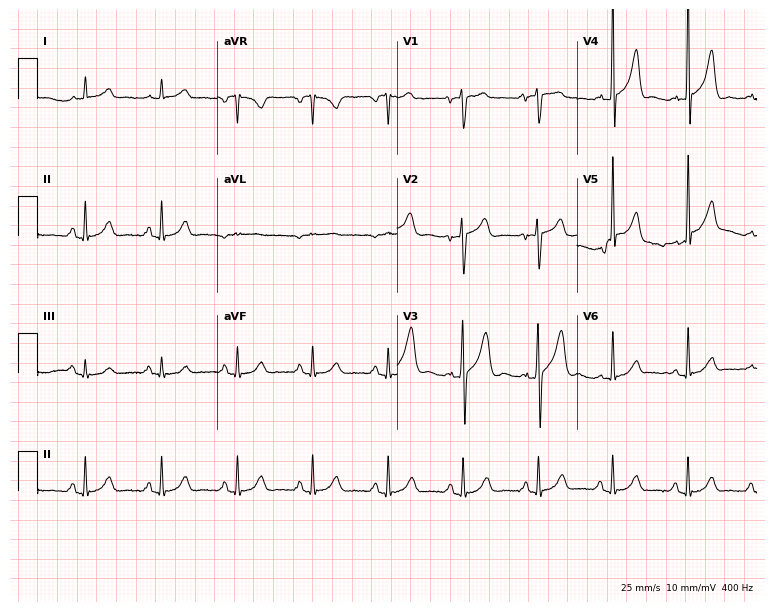
ECG — a male, 70 years old. Labelled as a normal ECG.